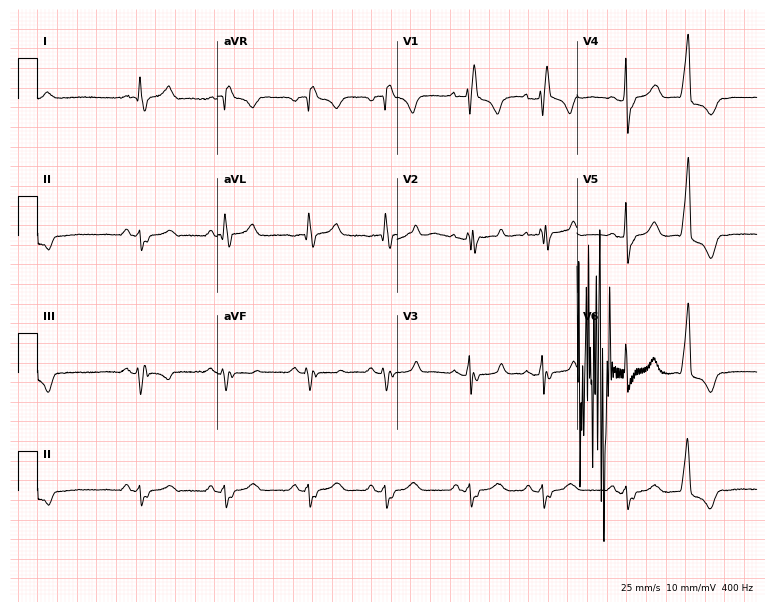
12-lead ECG from a 64-year-old male patient. Findings include right bundle branch block.